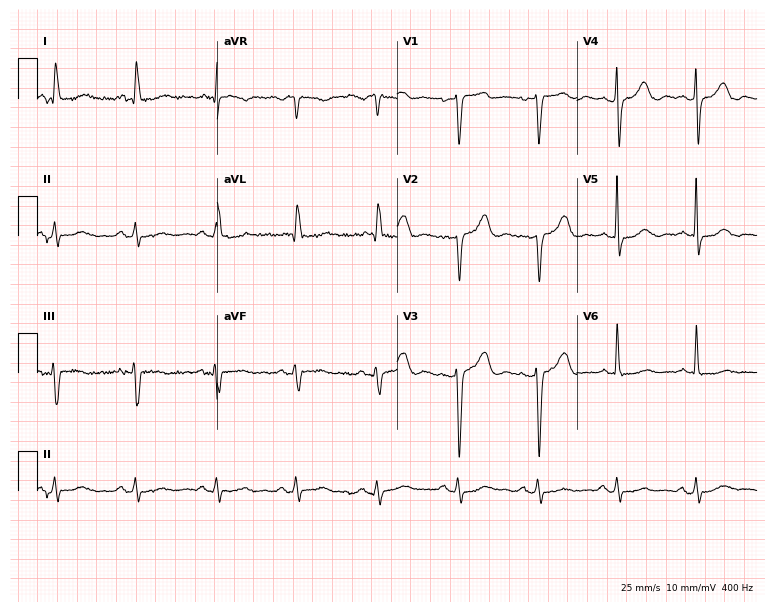
ECG (7.3-second recording at 400 Hz) — a female patient, 64 years old. Screened for six findings — first-degree AV block, right bundle branch block (RBBB), left bundle branch block (LBBB), sinus bradycardia, atrial fibrillation (AF), sinus tachycardia — none is recorded. Only these six findings were labelled.